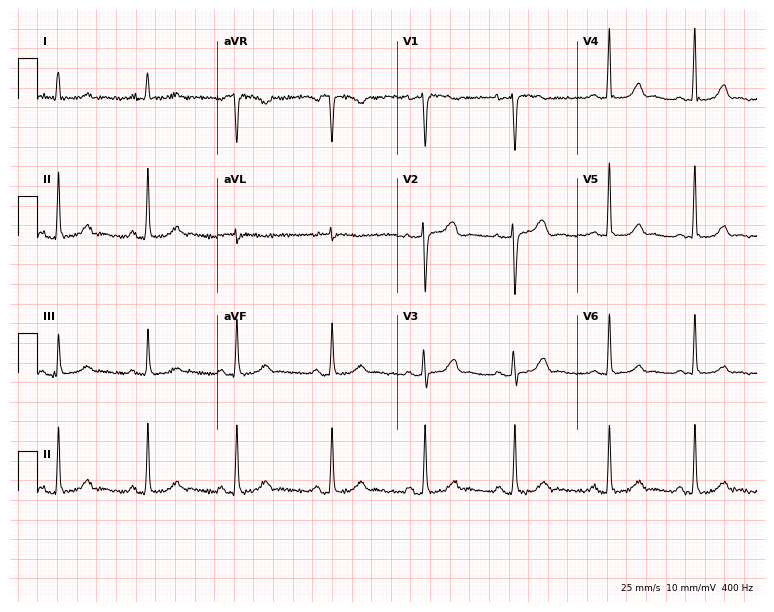
12-lead ECG from a female patient, 30 years old. Screened for six findings — first-degree AV block, right bundle branch block, left bundle branch block, sinus bradycardia, atrial fibrillation, sinus tachycardia — none is recorded. Other findings, if any, are not listed.